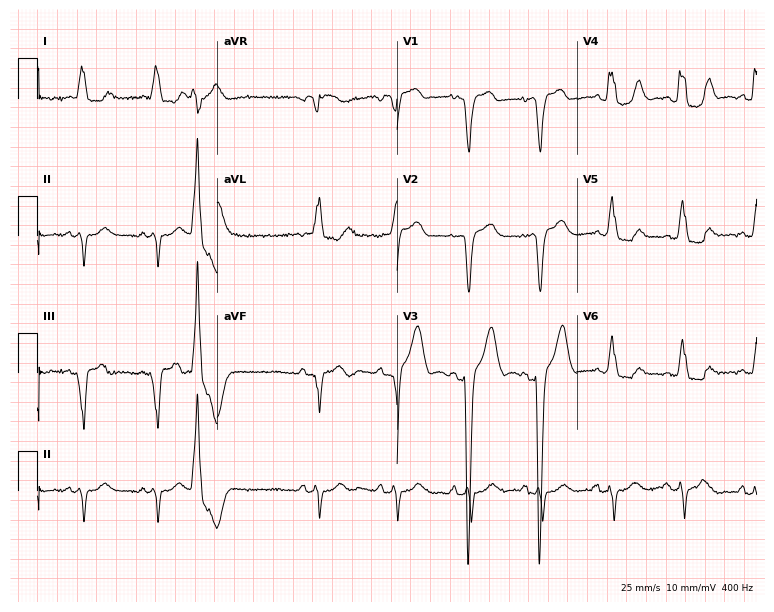
Resting 12-lead electrocardiogram (7.3-second recording at 400 Hz). Patient: a man, 81 years old. The tracing shows left bundle branch block (LBBB).